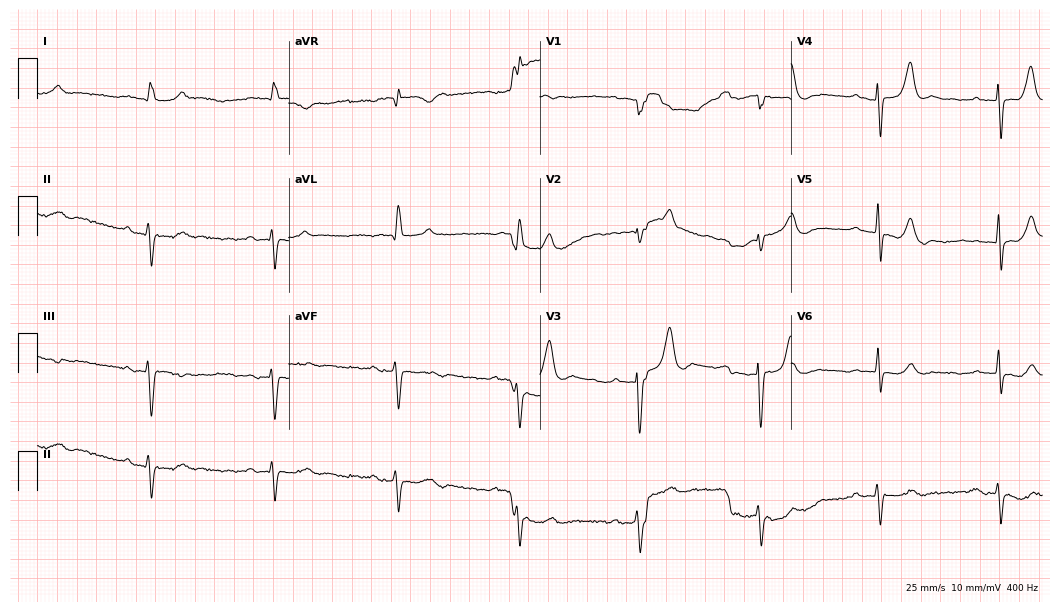
ECG (10.2-second recording at 400 Hz) — an 86-year-old man. Findings include first-degree AV block, sinus bradycardia (a sinus rate of 50 beats per minute or less).